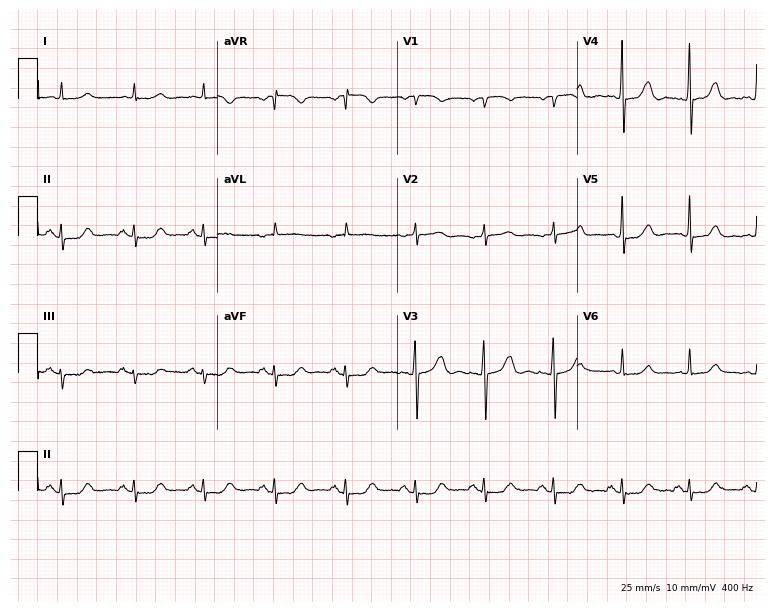
12-lead ECG from a 70-year-old female patient (7.3-second recording at 400 Hz). Recorded interpretation: within normal limits.